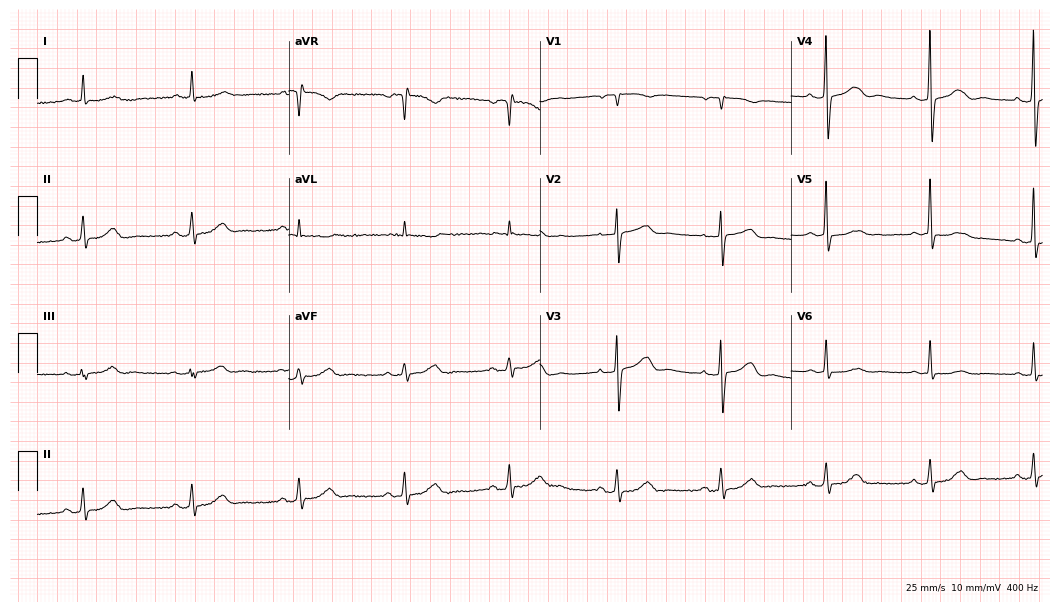
Standard 12-lead ECG recorded from an 80-year-old female. Read as a normal ECG.